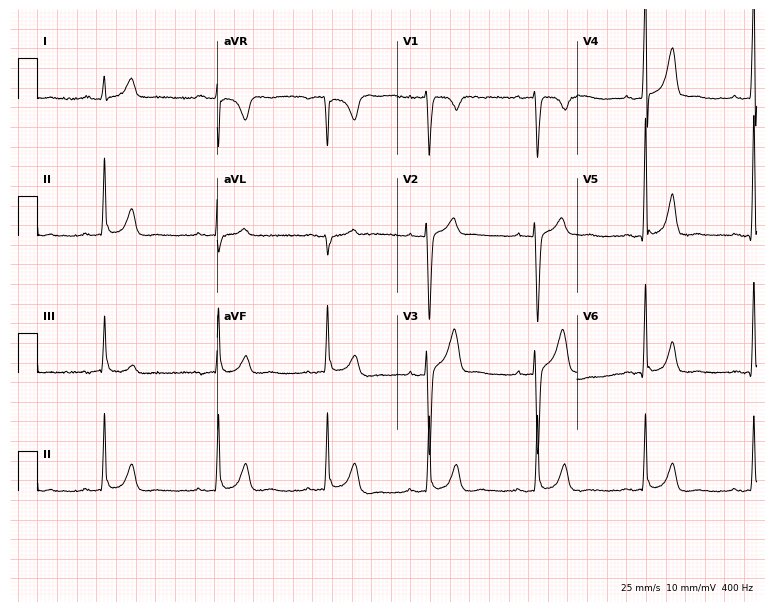
ECG — a male, 19 years old. Labelled as a normal ECG.